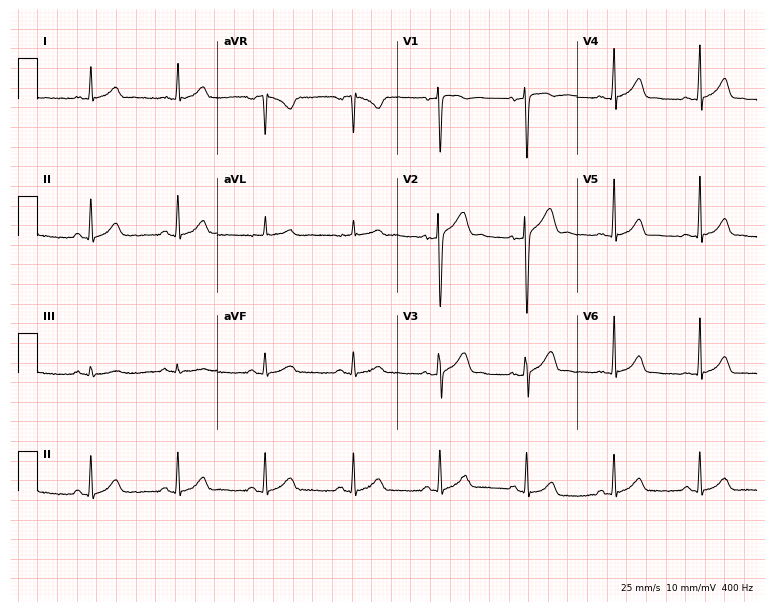
Electrocardiogram, a male, 33 years old. Of the six screened findings (first-degree AV block, right bundle branch block (RBBB), left bundle branch block (LBBB), sinus bradycardia, atrial fibrillation (AF), sinus tachycardia), none is recorded. Findings outside these six are not listed.